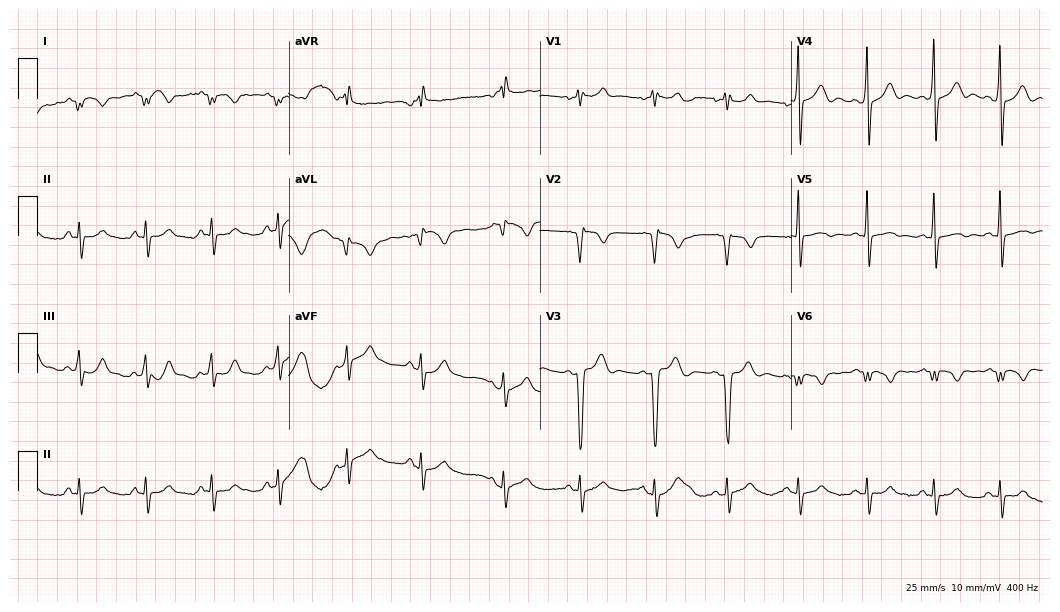
12-lead ECG (10.2-second recording at 400 Hz) from a 22-year-old male. Screened for six findings — first-degree AV block, right bundle branch block, left bundle branch block, sinus bradycardia, atrial fibrillation, sinus tachycardia — none is recorded. Findings outside these six are not listed.